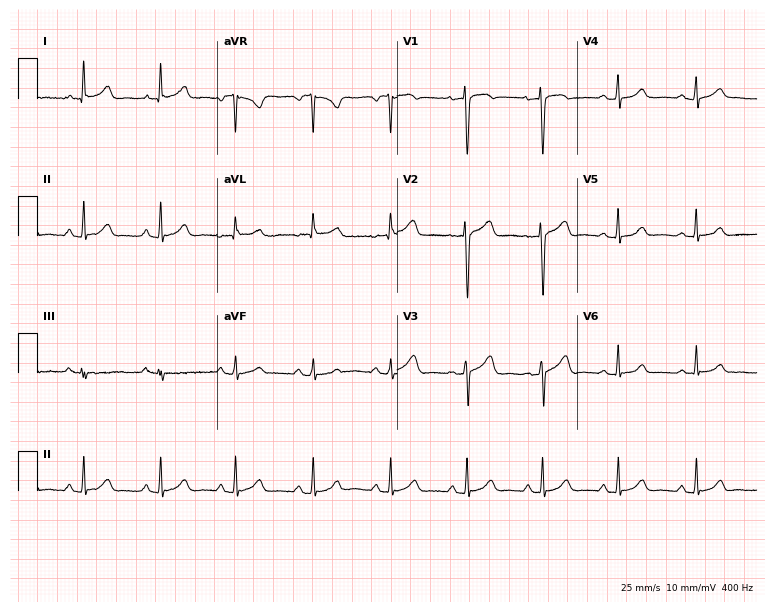
12-lead ECG from a female, 53 years old. Labelled as a normal ECG.